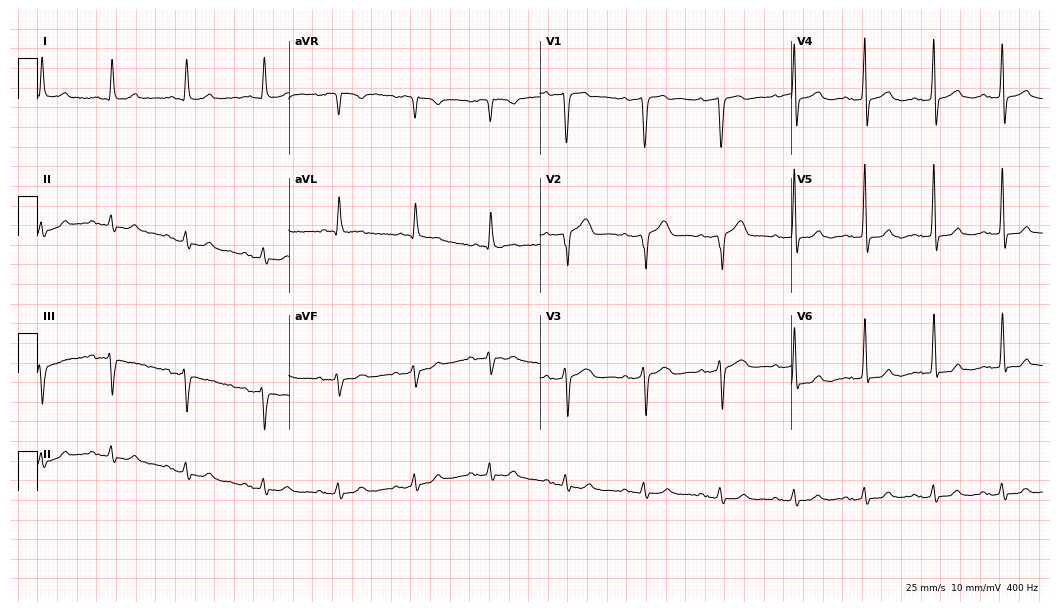
12-lead ECG from a 67-year-old man (10.2-second recording at 400 Hz). Recorded interpretation: within normal limits.